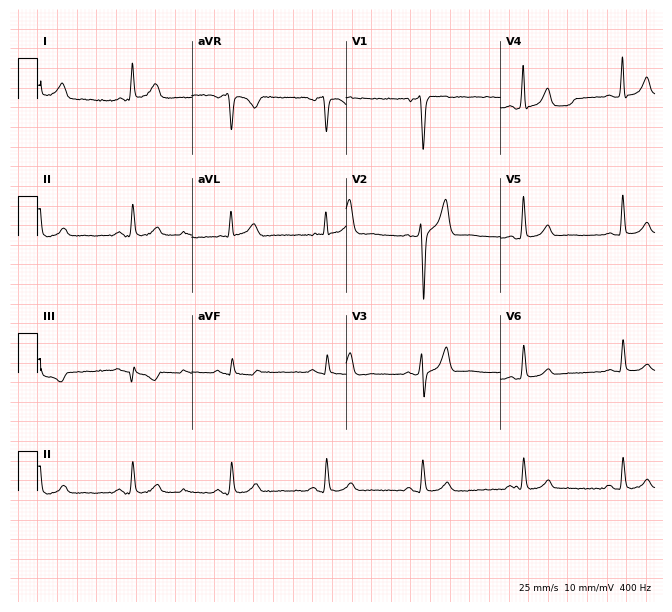
Electrocardiogram, a male, 59 years old. Overall reading on record: normal ECG.